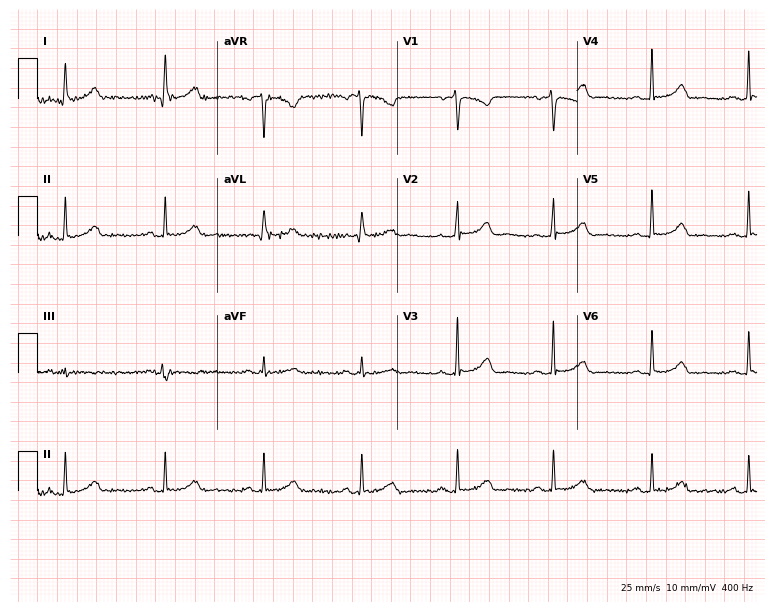
Resting 12-lead electrocardiogram. Patient: a female, 58 years old. Read as a normal ECG.